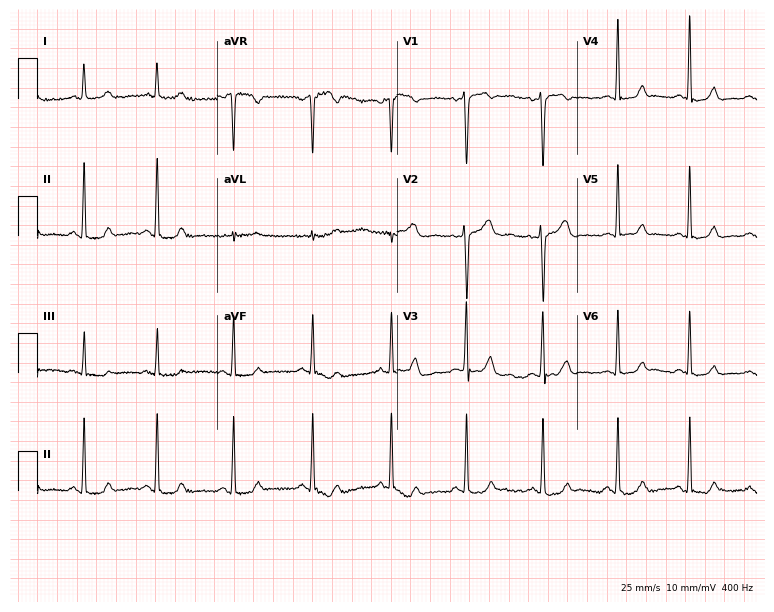
Standard 12-lead ECG recorded from a 36-year-old female patient (7.3-second recording at 400 Hz). None of these six findings is recorded: first-degree AV block, right bundle branch block, left bundle branch block, sinus bradycardia, atrial fibrillation, sinus tachycardia. Only these six findings were labelled.